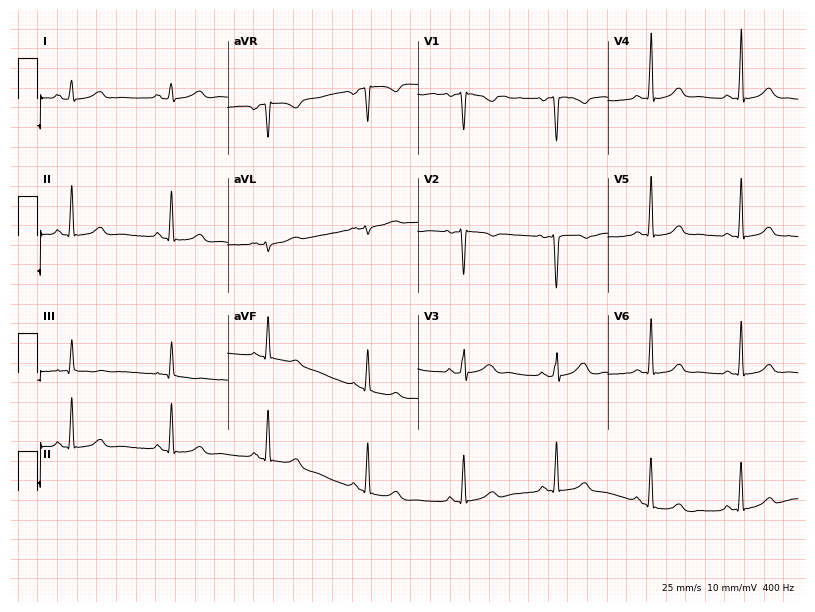
Standard 12-lead ECG recorded from a woman, 29 years old. Read as a normal ECG.